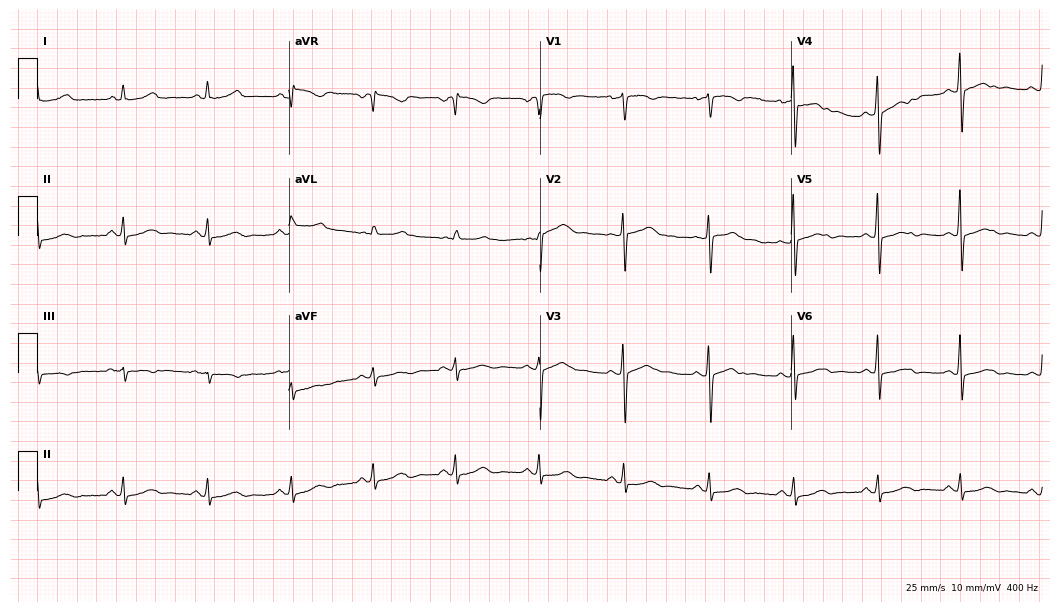
12-lead ECG (10.2-second recording at 400 Hz) from a woman, 53 years old. Labelled as a normal ECG.